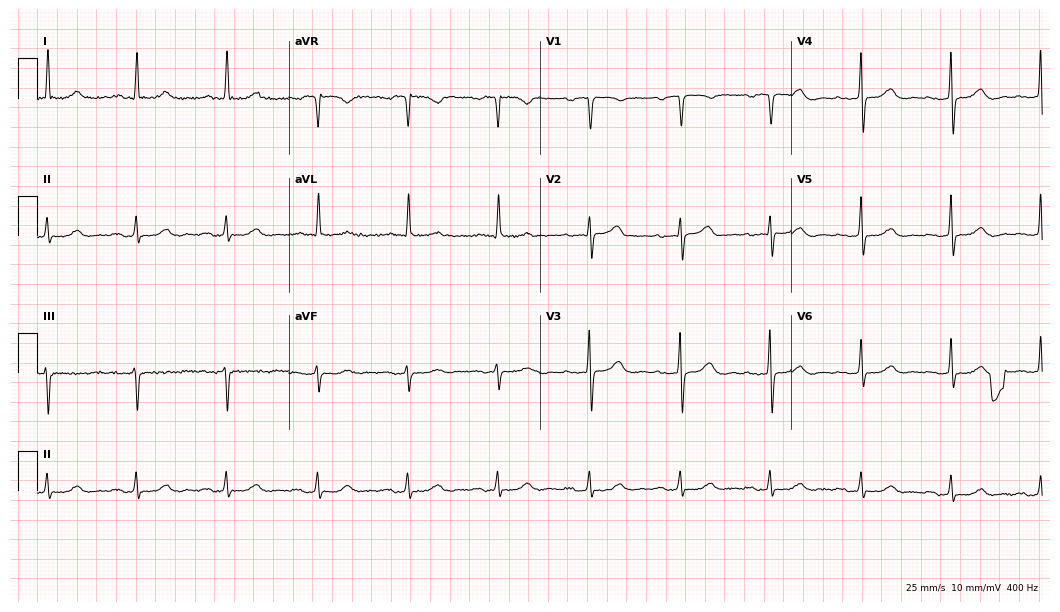
12-lead ECG from a female patient, 73 years old. Labelled as a normal ECG.